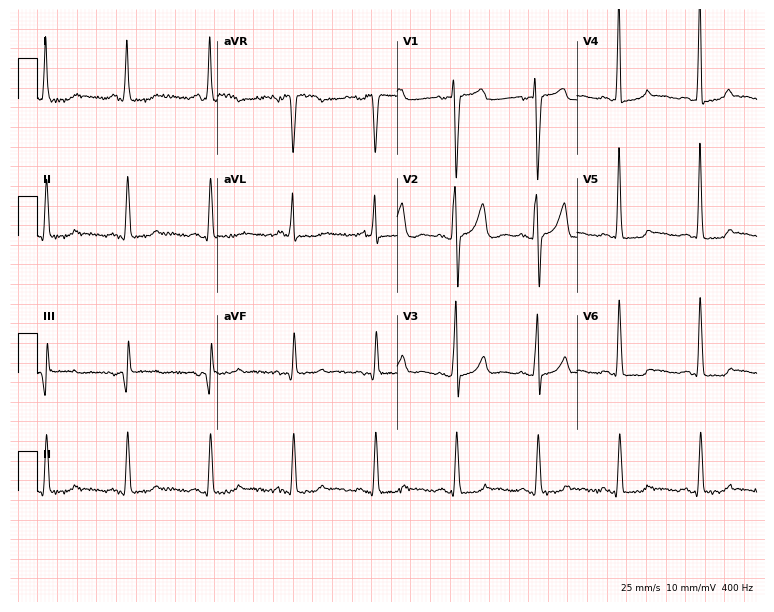
12-lead ECG from a 50-year-old female patient. No first-degree AV block, right bundle branch block, left bundle branch block, sinus bradycardia, atrial fibrillation or sinus tachycardia recorded for this tracing. Other findings, if any, are not listed.